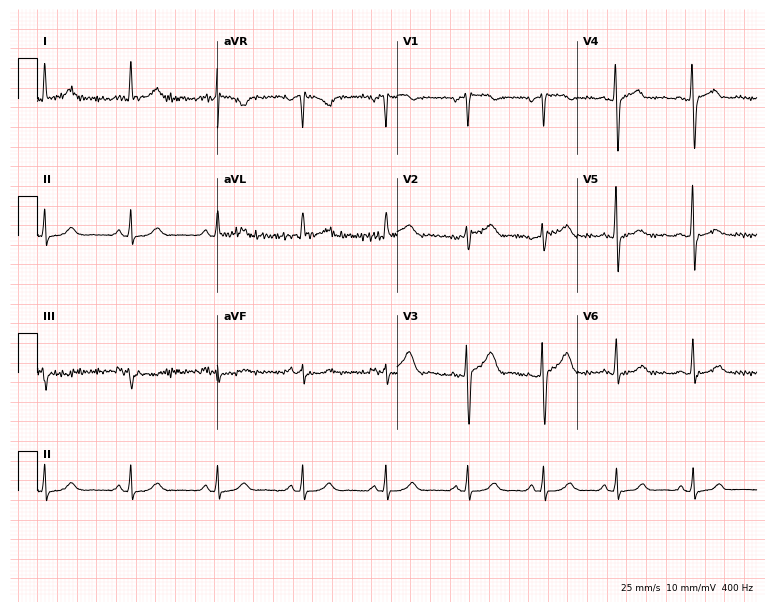
12-lead ECG from a 53-year-old female. Recorded interpretation: within normal limits.